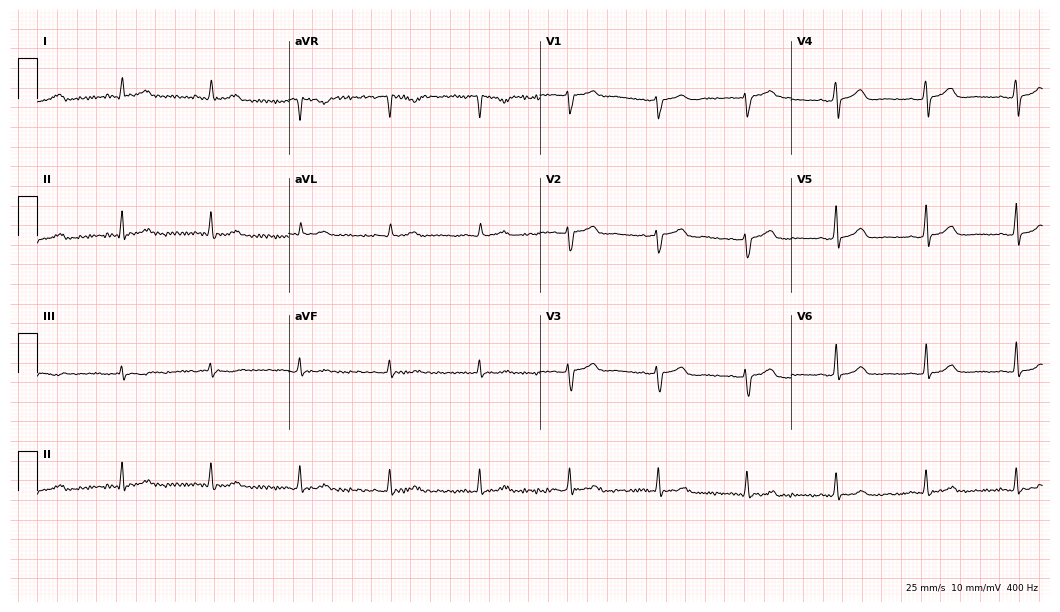
ECG (10.2-second recording at 400 Hz) — a 63-year-old female patient. Labelled as a normal ECG.